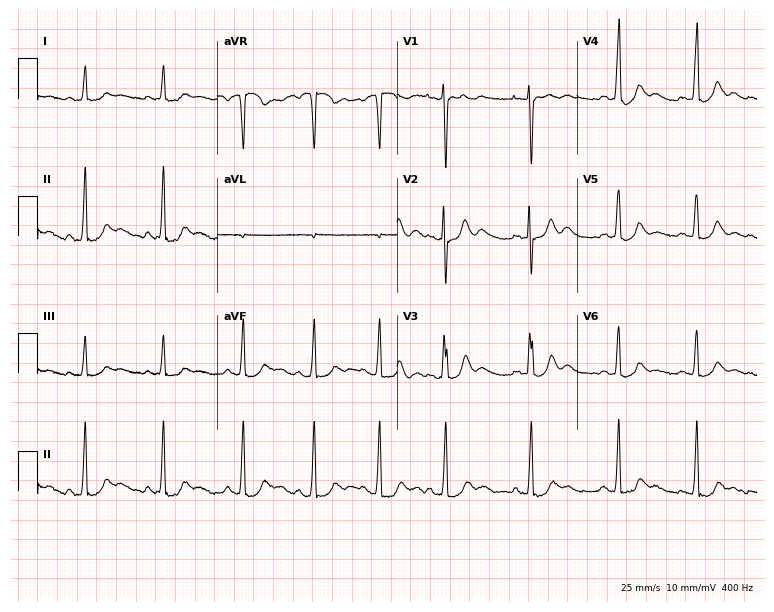
12-lead ECG from a woman, 19 years old. No first-degree AV block, right bundle branch block, left bundle branch block, sinus bradycardia, atrial fibrillation or sinus tachycardia recorded for this tracing. Only these six findings were labelled.